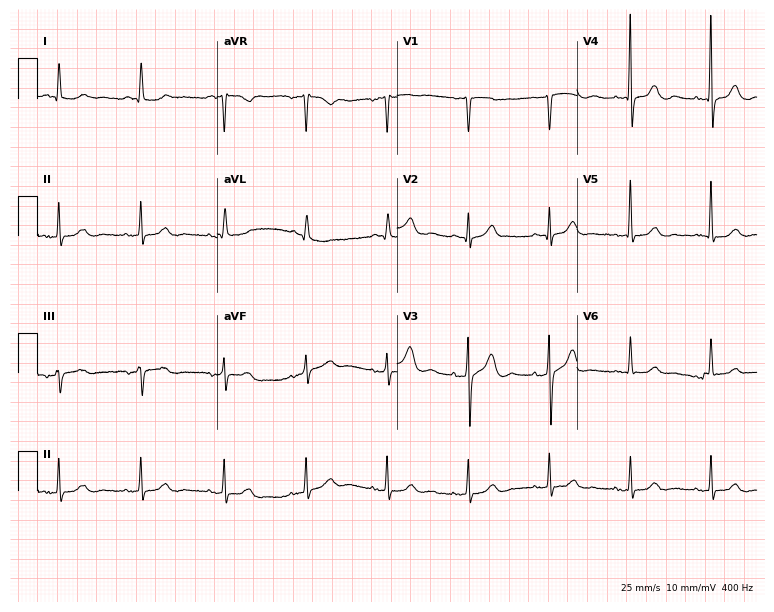
12-lead ECG from a male, 65 years old. No first-degree AV block, right bundle branch block, left bundle branch block, sinus bradycardia, atrial fibrillation or sinus tachycardia recorded for this tracing. Other findings, if any, are not listed.